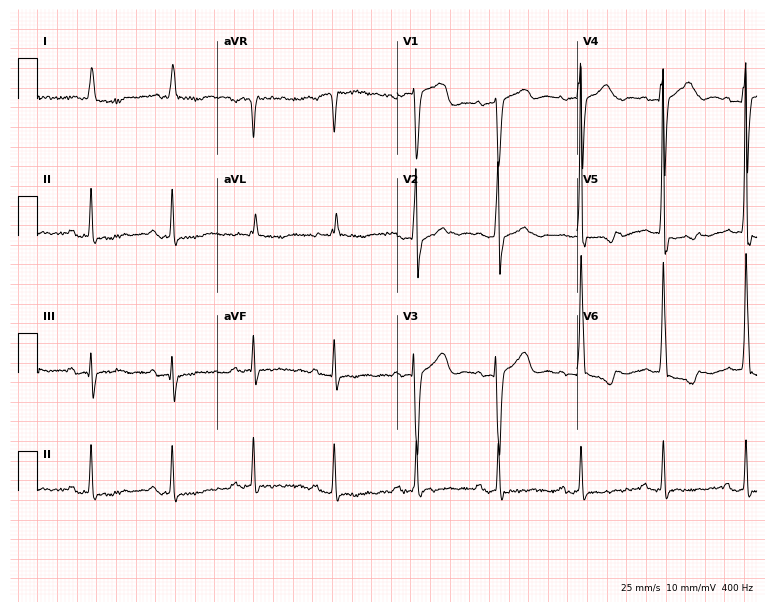
Resting 12-lead electrocardiogram (7.3-second recording at 400 Hz). Patient: a female, 81 years old. None of these six findings is recorded: first-degree AV block, right bundle branch block, left bundle branch block, sinus bradycardia, atrial fibrillation, sinus tachycardia. Other findings, if any, are not listed.